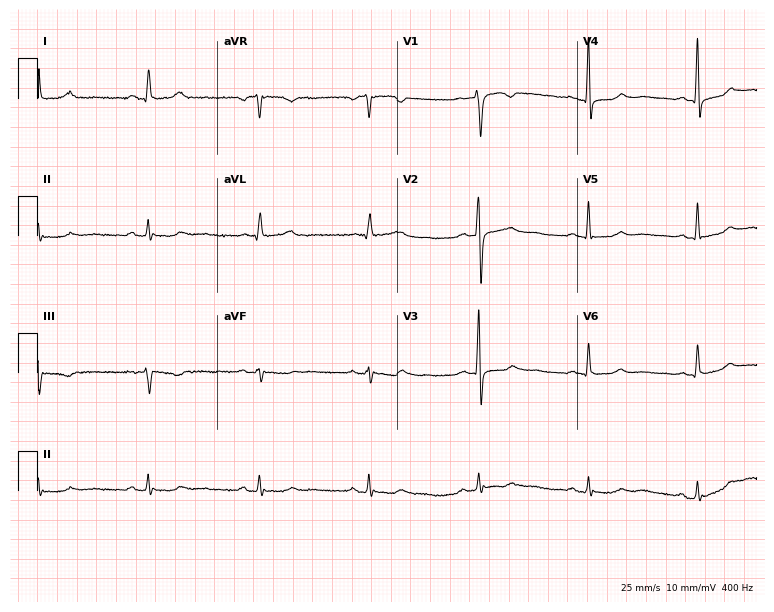
12-lead ECG (7.3-second recording at 400 Hz) from a 61-year-old female patient. Screened for six findings — first-degree AV block, right bundle branch block (RBBB), left bundle branch block (LBBB), sinus bradycardia, atrial fibrillation (AF), sinus tachycardia — none is recorded.